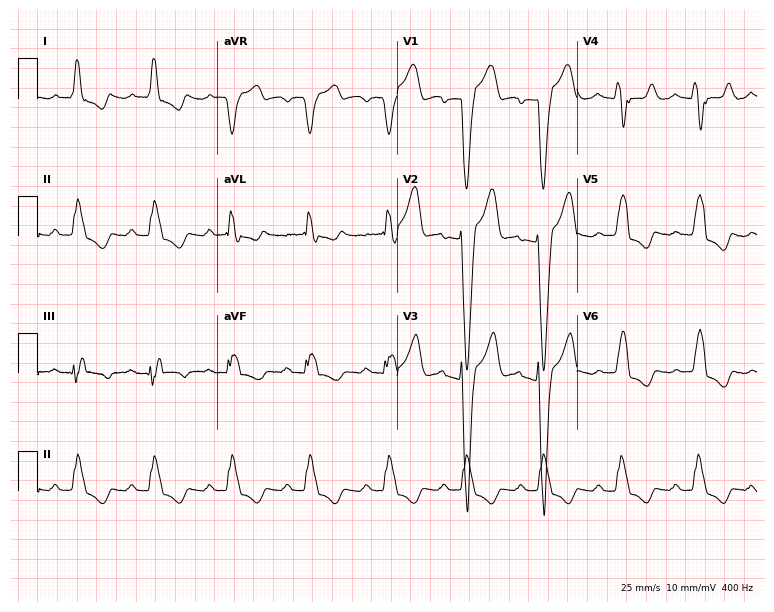
ECG (7.3-second recording at 400 Hz) — a 71-year-old male patient. Findings include first-degree AV block, left bundle branch block (LBBB).